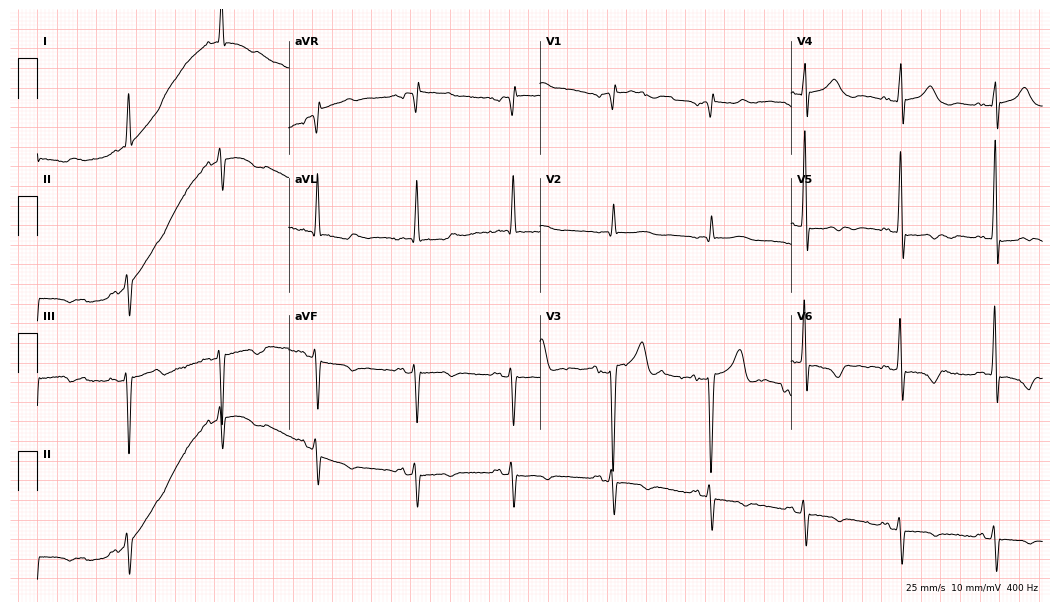
12-lead ECG from a 65-year-old male patient. Screened for six findings — first-degree AV block, right bundle branch block, left bundle branch block, sinus bradycardia, atrial fibrillation, sinus tachycardia — none is recorded.